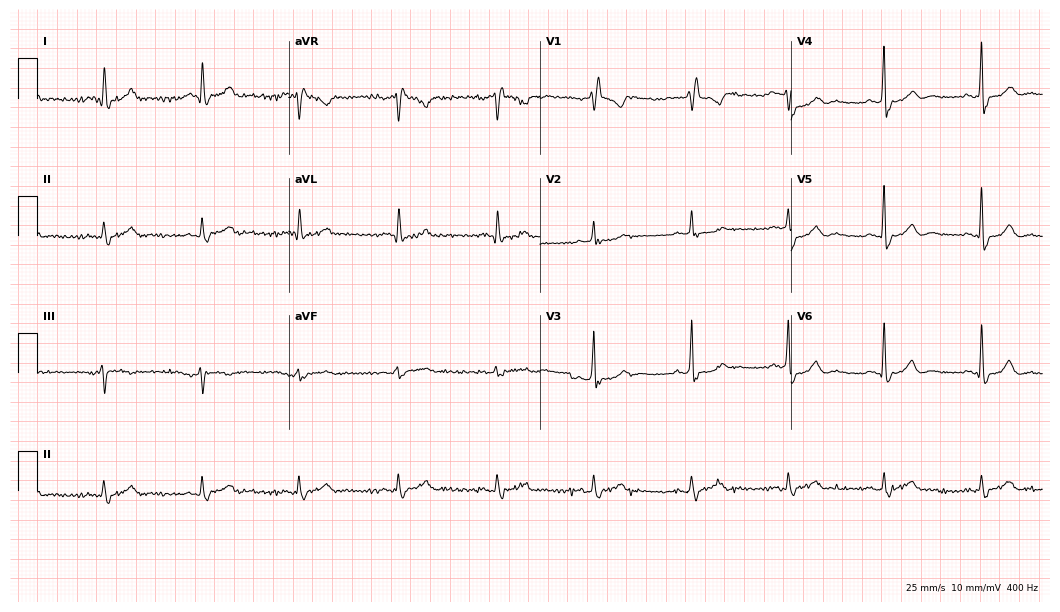
Standard 12-lead ECG recorded from a man, 72 years old. The tracing shows right bundle branch block.